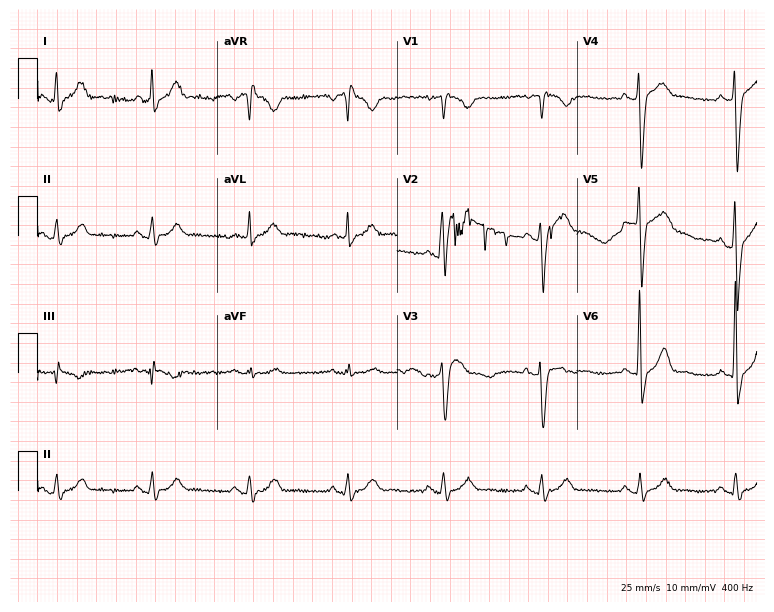
12-lead ECG (7.3-second recording at 400 Hz) from a 52-year-old male patient. Screened for six findings — first-degree AV block, right bundle branch block, left bundle branch block, sinus bradycardia, atrial fibrillation, sinus tachycardia — none is recorded.